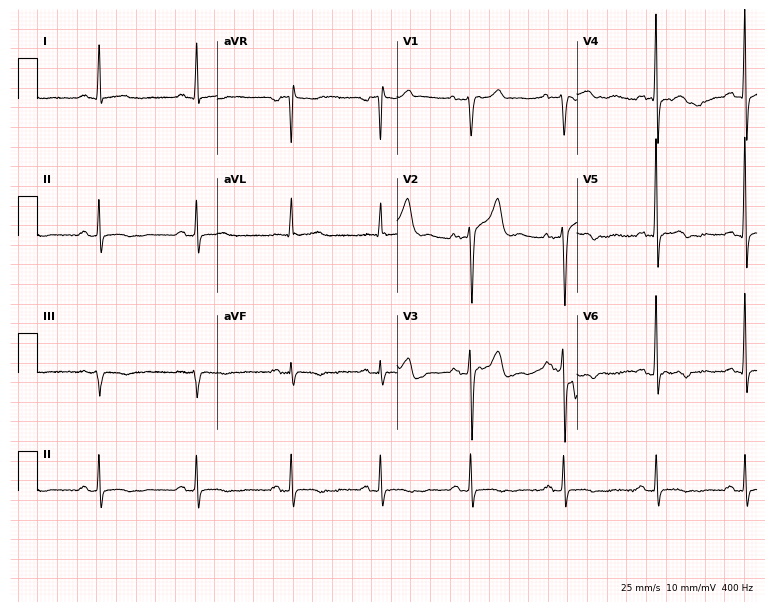
Electrocardiogram (7.3-second recording at 400 Hz), a man, 79 years old. Of the six screened findings (first-degree AV block, right bundle branch block (RBBB), left bundle branch block (LBBB), sinus bradycardia, atrial fibrillation (AF), sinus tachycardia), none is recorded.